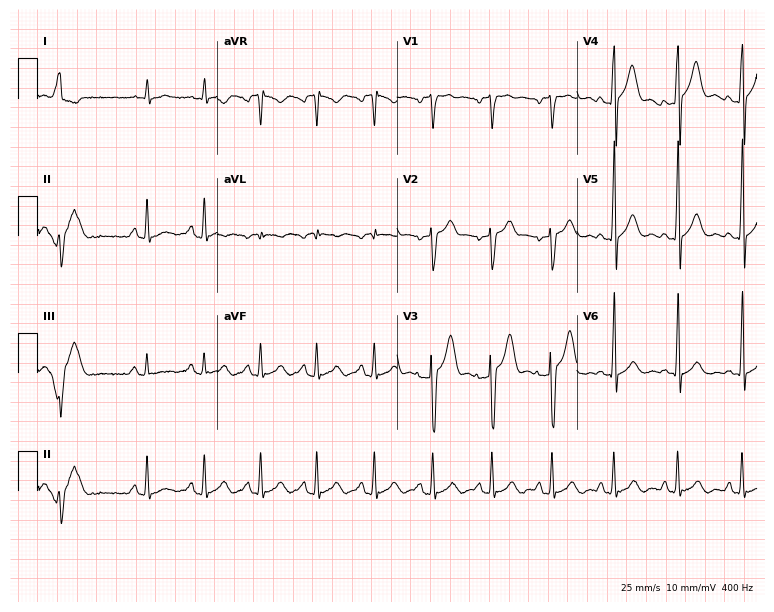
Electrocardiogram, a man, 39 years old. Of the six screened findings (first-degree AV block, right bundle branch block (RBBB), left bundle branch block (LBBB), sinus bradycardia, atrial fibrillation (AF), sinus tachycardia), none is recorded.